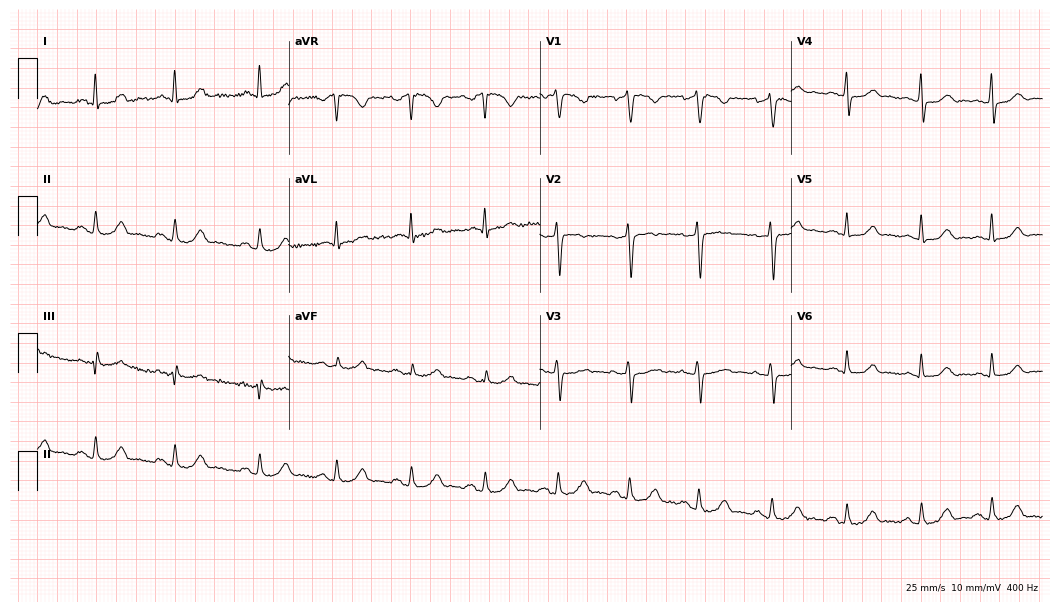
Resting 12-lead electrocardiogram (10.2-second recording at 400 Hz). Patient: a female, 44 years old. Read as a normal ECG.